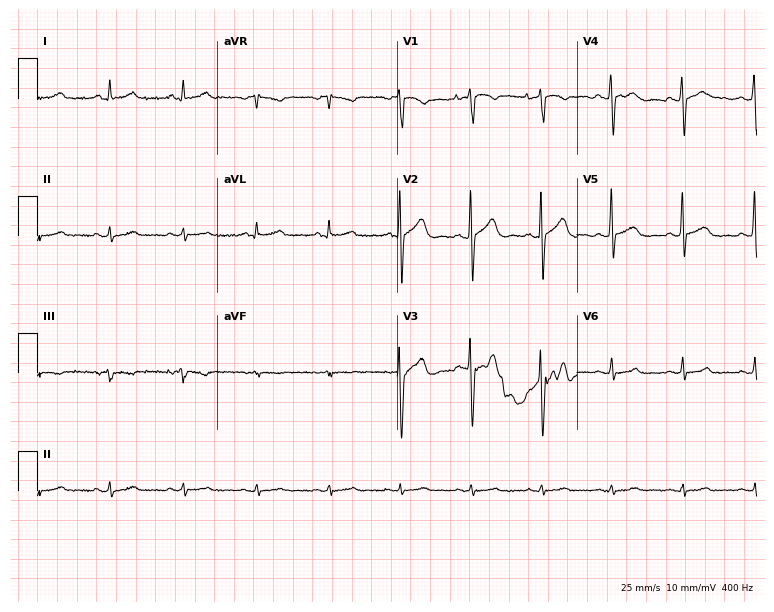
12-lead ECG from a male patient, 30 years old (7.3-second recording at 400 Hz). No first-degree AV block, right bundle branch block (RBBB), left bundle branch block (LBBB), sinus bradycardia, atrial fibrillation (AF) or sinus tachycardia recorded for this tracing.